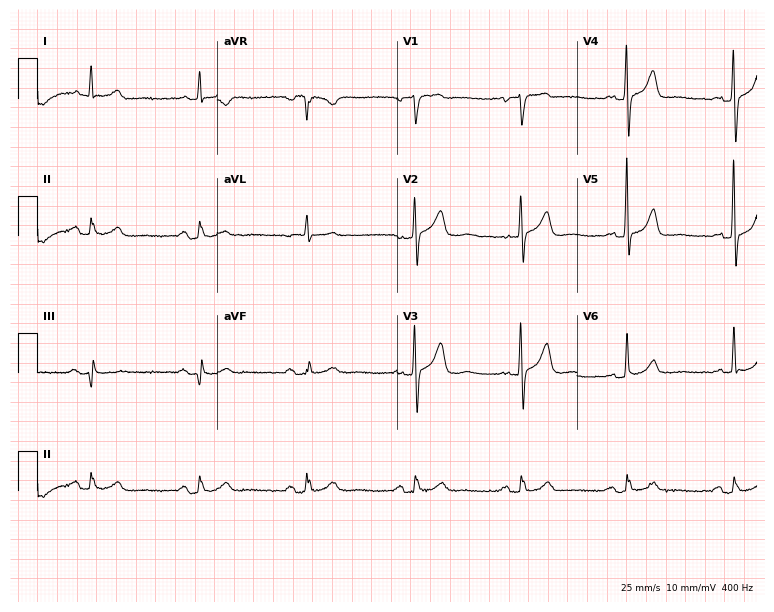
12-lead ECG from a man, 73 years old. Labelled as a normal ECG.